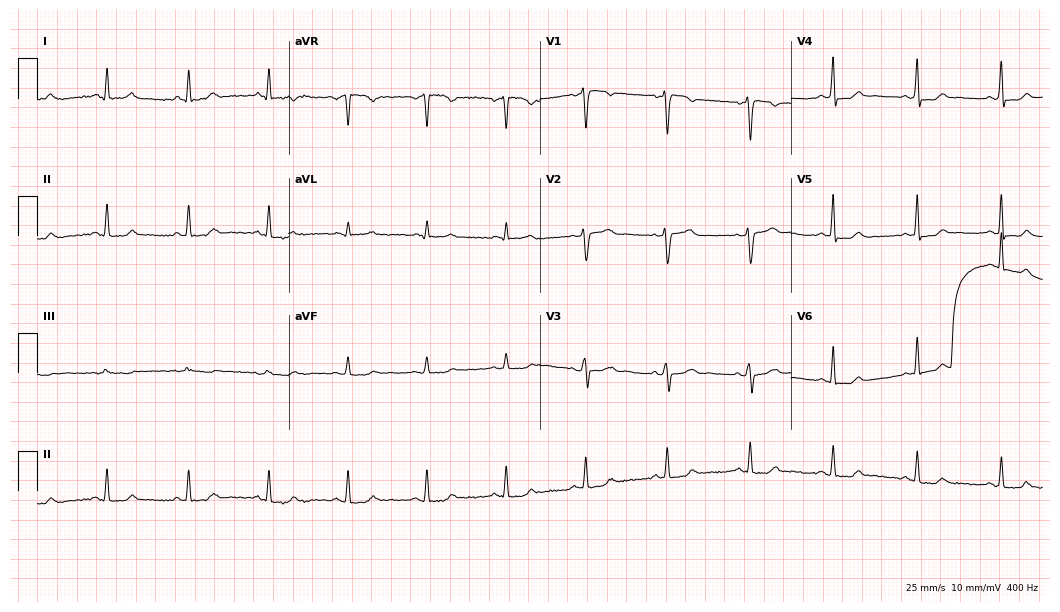
12-lead ECG from a 43-year-old woman (10.2-second recording at 400 Hz). No first-degree AV block, right bundle branch block (RBBB), left bundle branch block (LBBB), sinus bradycardia, atrial fibrillation (AF) or sinus tachycardia recorded for this tracing. Only these six findings were labelled.